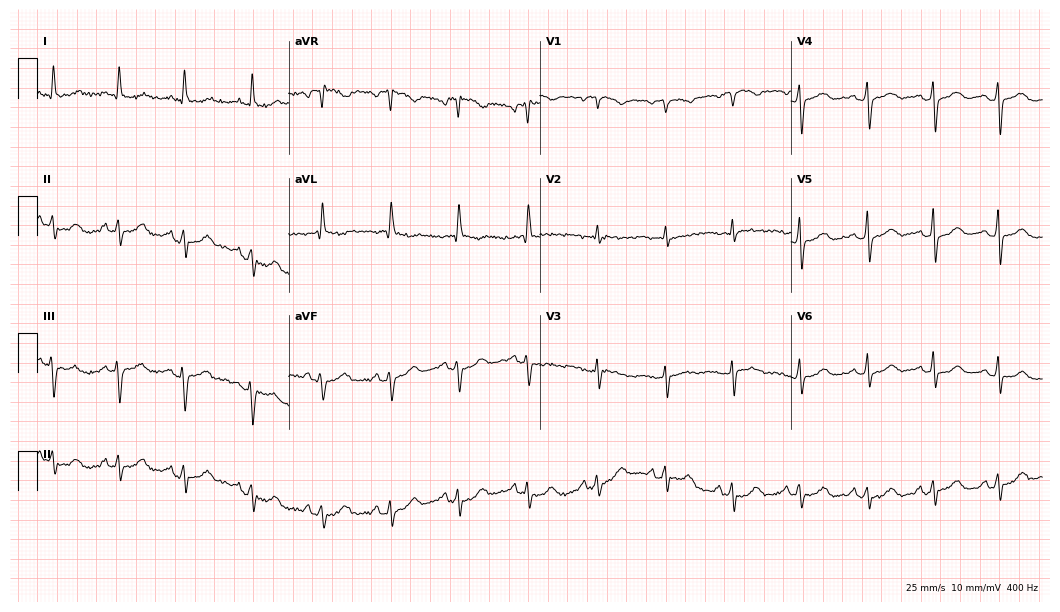
Standard 12-lead ECG recorded from a female, 55 years old. None of these six findings is recorded: first-degree AV block, right bundle branch block (RBBB), left bundle branch block (LBBB), sinus bradycardia, atrial fibrillation (AF), sinus tachycardia. Findings outside these six are not listed.